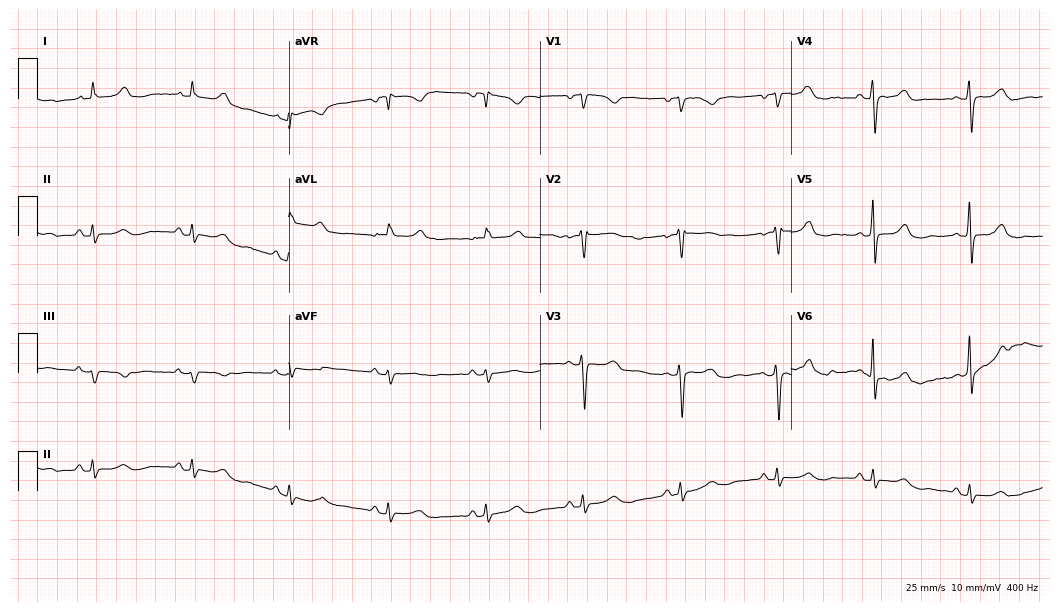
ECG (10.2-second recording at 400 Hz) — a female patient, 74 years old. Labelled as a normal ECG.